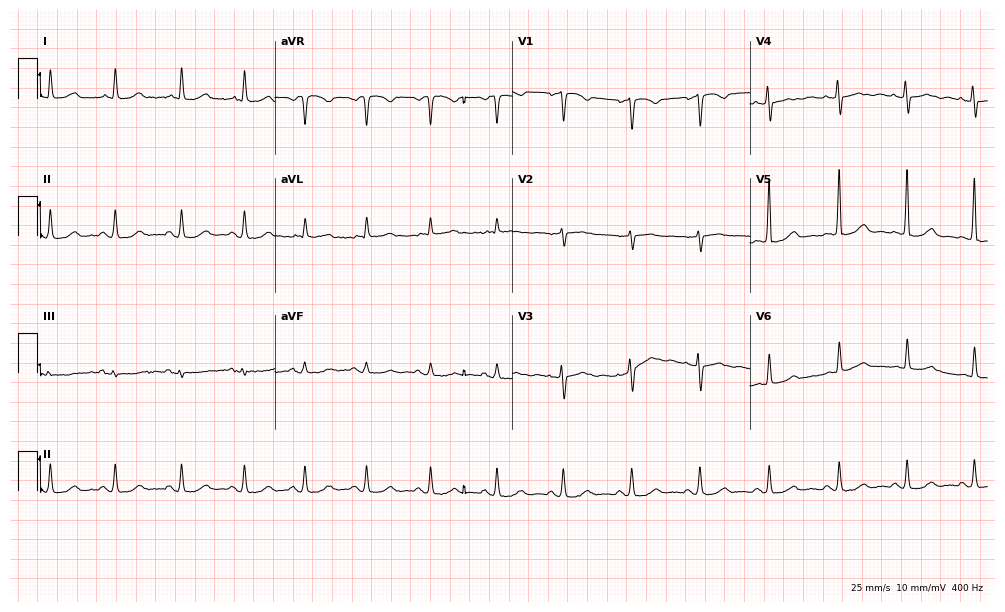
12-lead ECG from a 53-year-old female patient (9.7-second recording at 400 Hz). Recorded interpretation: within normal limits.